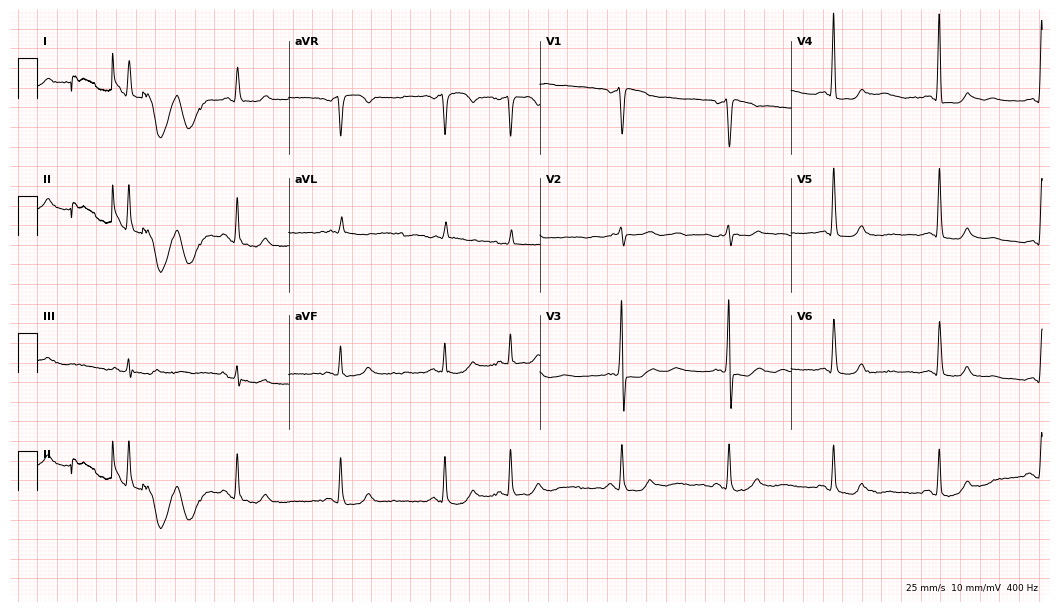
Resting 12-lead electrocardiogram. Patient: a female, 87 years old. None of these six findings is recorded: first-degree AV block, right bundle branch block, left bundle branch block, sinus bradycardia, atrial fibrillation, sinus tachycardia. Findings outside these six are not listed.